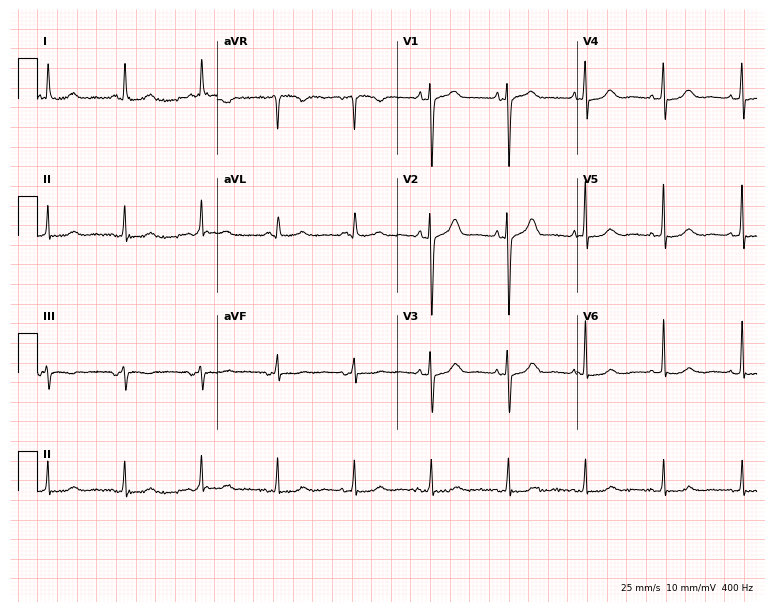
ECG — a woman, 83 years old. Labelled as a normal ECG.